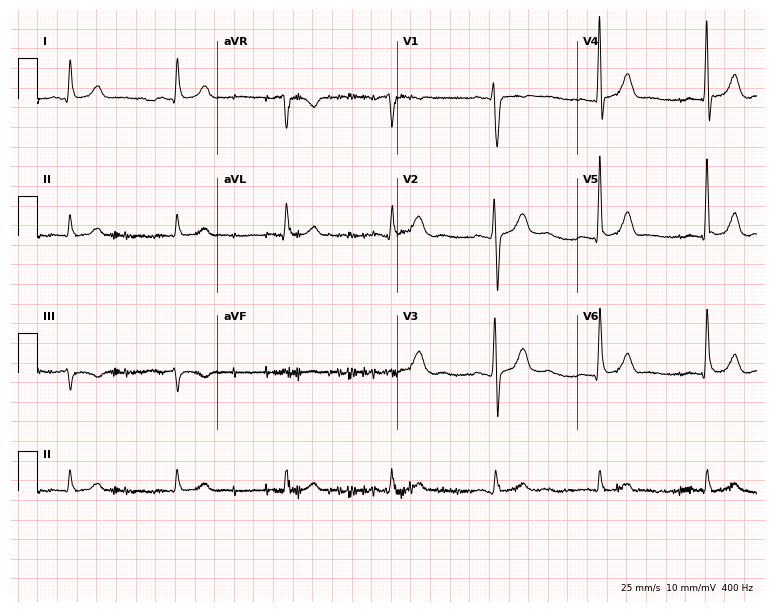
Resting 12-lead electrocardiogram. Patient: an 82-year-old male. Read as a normal ECG.